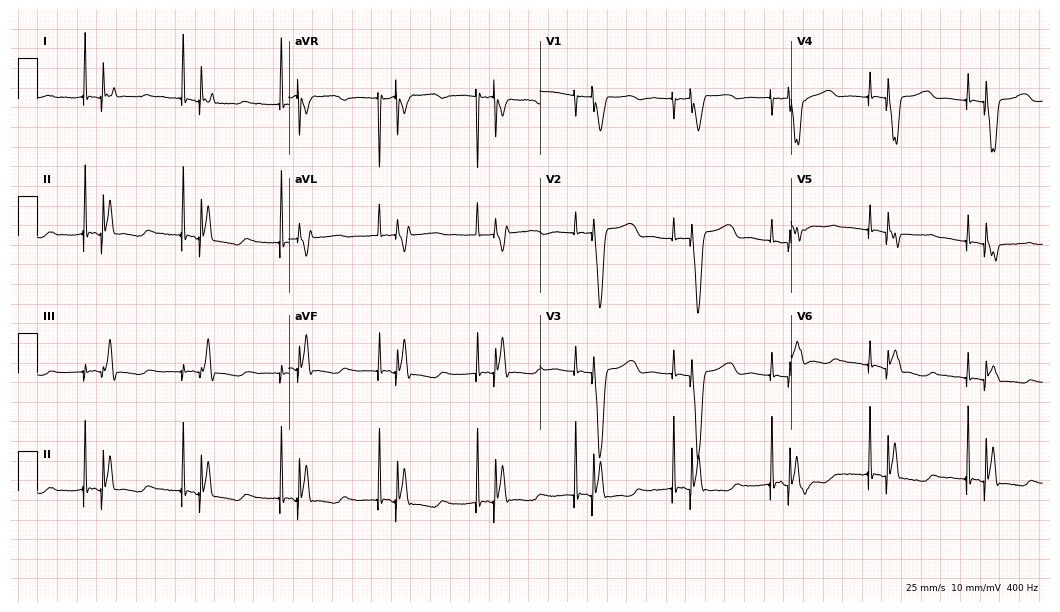
ECG — a female patient, 77 years old. Screened for six findings — first-degree AV block, right bundle branch block, left bundle branch block, sinus bradycardia, atrial fibrillation, sinus tachycardia — none is recorded.